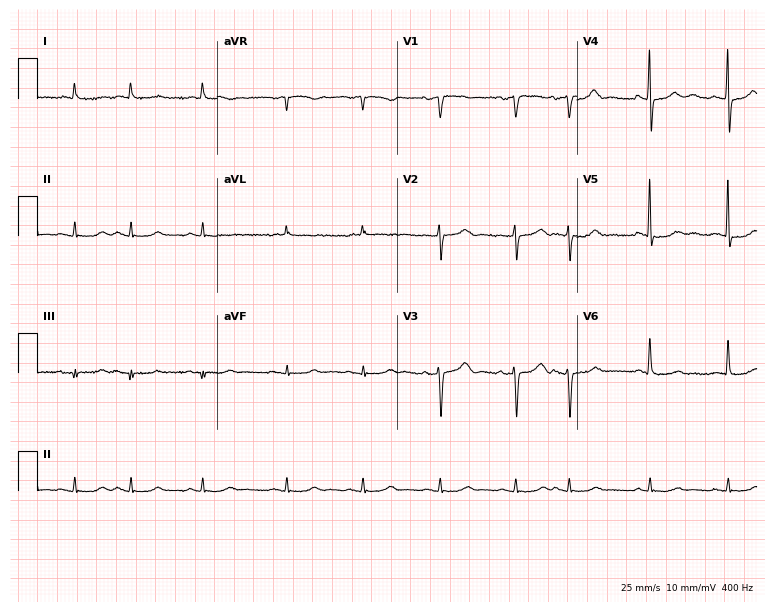
Standard 12-lead ECG recorded from a female, 85 years old. None of these six findings is recorded: first-degree AV block, right bundle branch block, left bundle branch block, sinus bradycardia, atrial fibrillation, sinus tachycardia. Other findings, if any, are not listed.